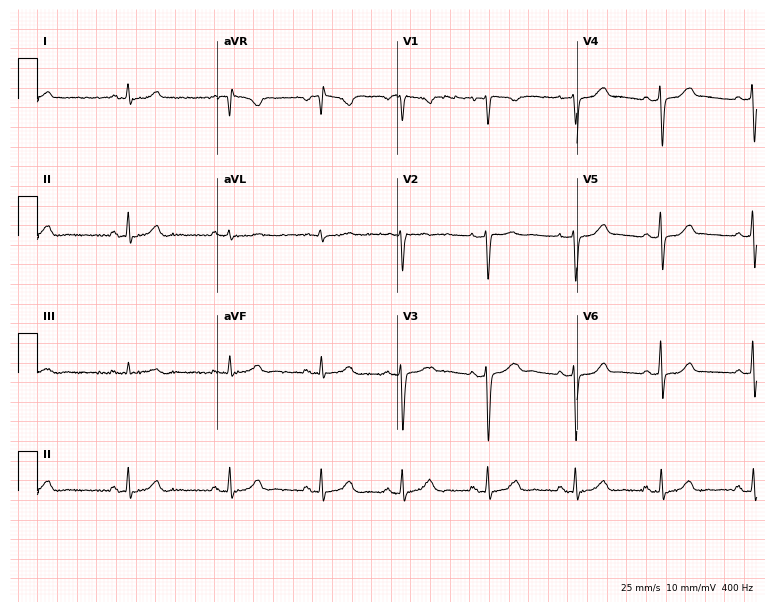
Resting 12-lead electrocardiogram. Patient: a 32-year-old female. Read as a normal ECG.